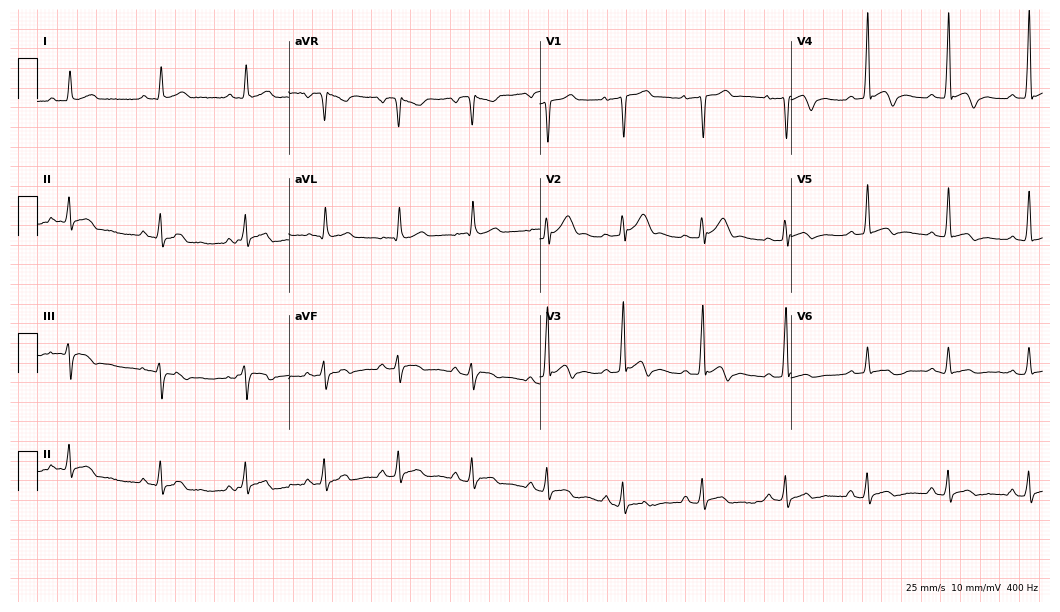
Electrocardiogram, a 27-year-old male. Overall reading on record: normal ECG.